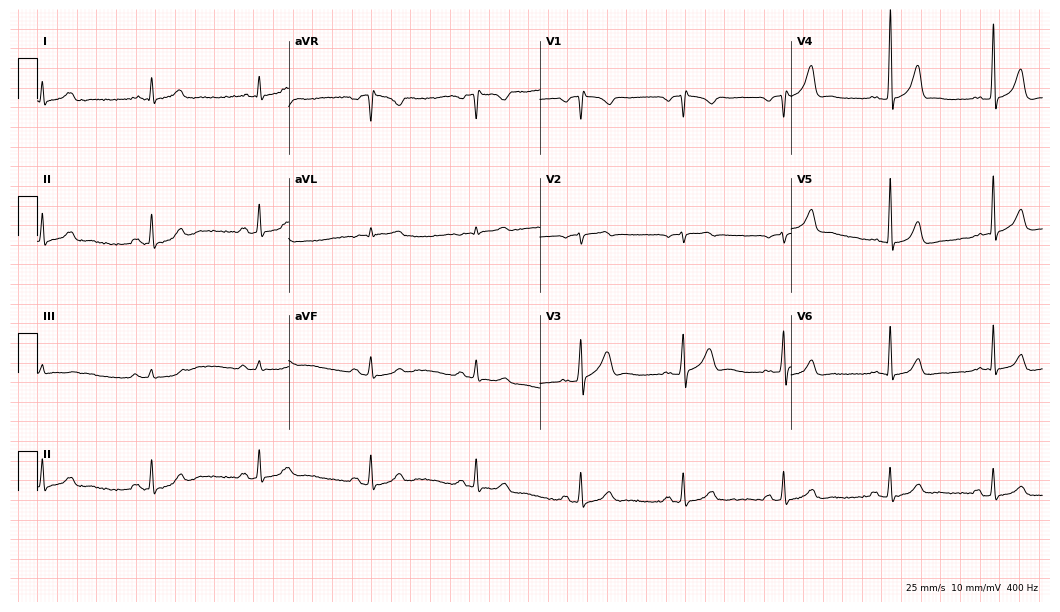
Electrocardiogram (10.2-second recording at 400 Hz), a man, 55 years old. Of the six screened findings (first-degree AV block, right bundle branch block, left bundle branch block, sinus bradycardia, atrial fibrillation, sinus tachycardia), none is recorded. Findings outside these six are not listed.